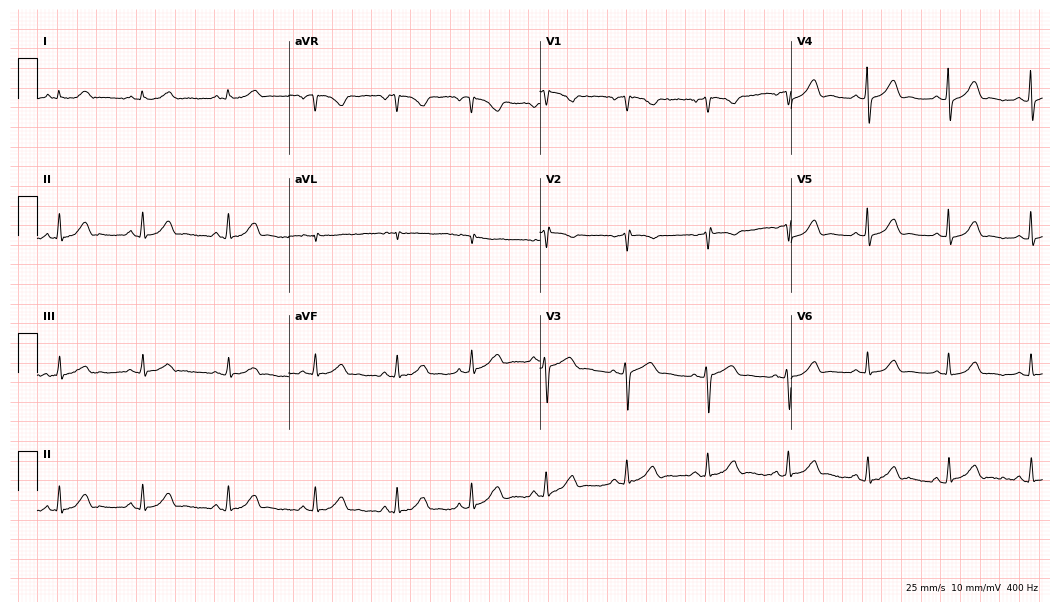
Electrocardiogram (10.2-second recording at 400 Hz), a 51-year-old female. Of the six screened findings (first-degree AV block, right bundle branch block (RBBB), left bundle branch block (LBBB), sinus bradycardia, atrial fibrillation (AF), sinus tachycardia), none is recorded.